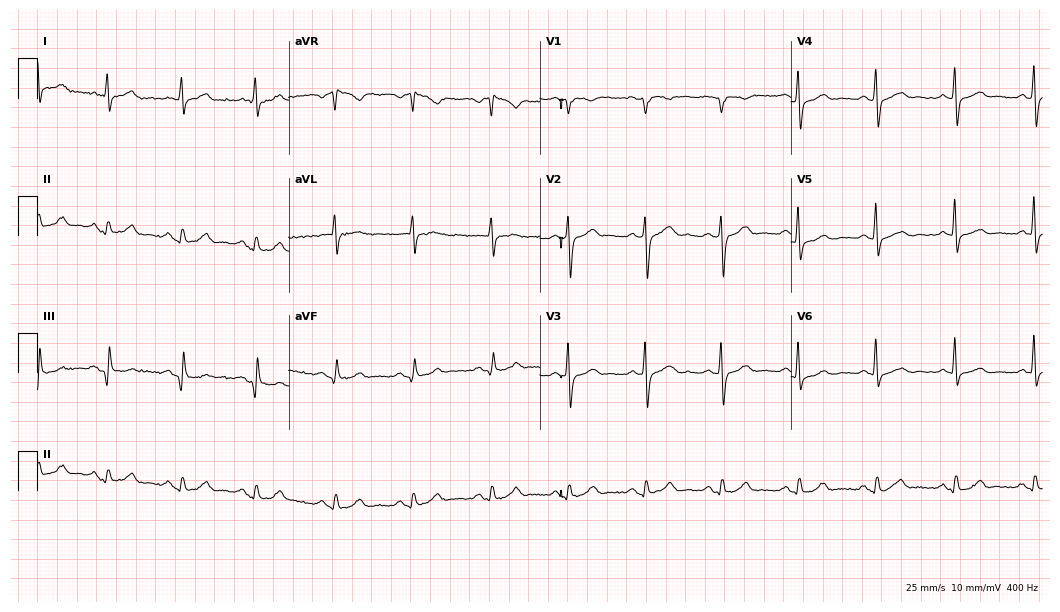
12-lead ECG (10.2-second recording at 400 Hz) from a 44-year-old male. Labelled as a normal ECG.